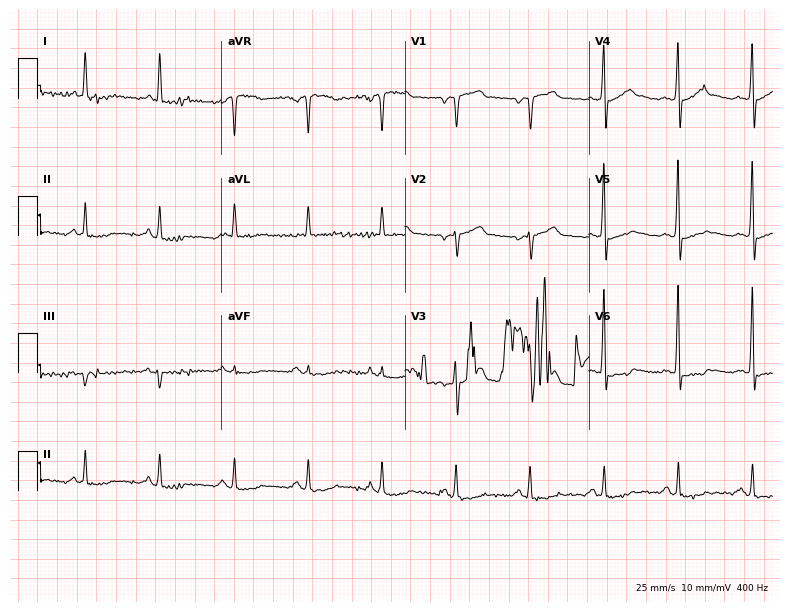
Standard 12-lead ECG recorded from a male patient, 61 years old (7.5-second recording at 400 Hz). None of these six findings is recorded: first-degree AV block, right bundle branch block, left bundle branch block, sinus bradycardia, atrial fibrillation, sinus tachycardia.